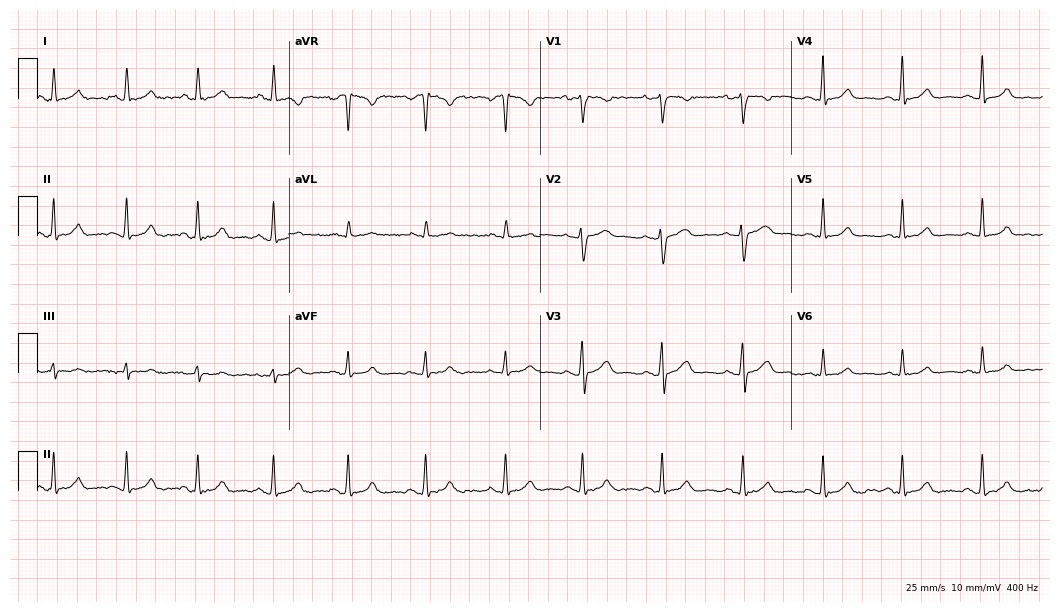
Electrocardiogram, a female patient, 30 years old. Overall reading on record: normal ECG.